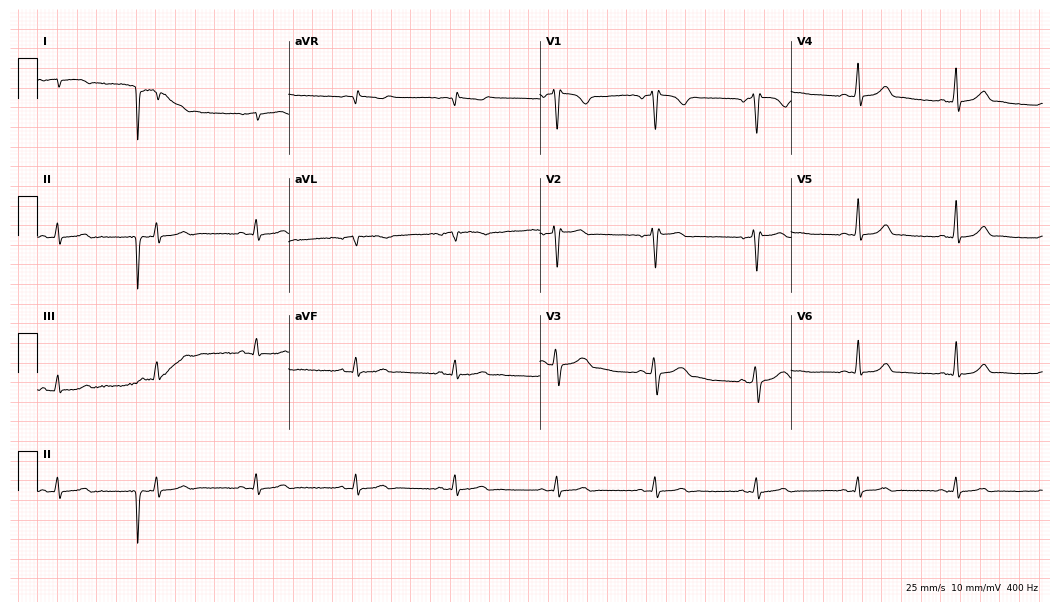
Electrocardiogram, a woman, 50 years old. Of the six screened findings (first-degree AV block, right bundle branch block (RBBB), left bundle branch block (LBBB), sinus bradycardia, atrial fibrillation (AF), sinus tachycardia), none is recorded.